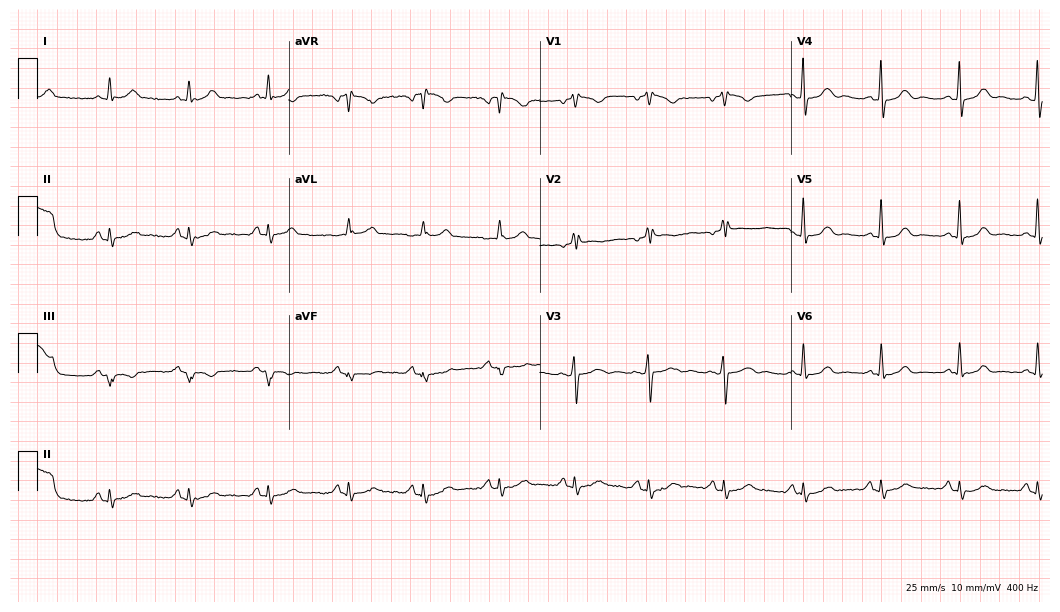
ECG — a 46-year-old female. Labelled as a normal ECG.